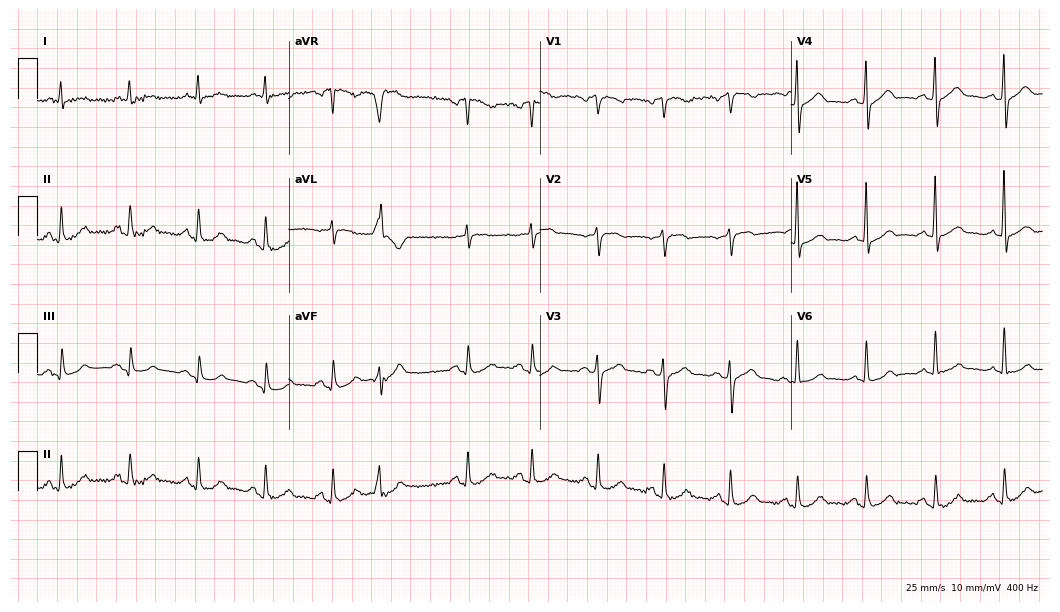
ECG — a 68-year-old male. Labelled as a normal ECG.